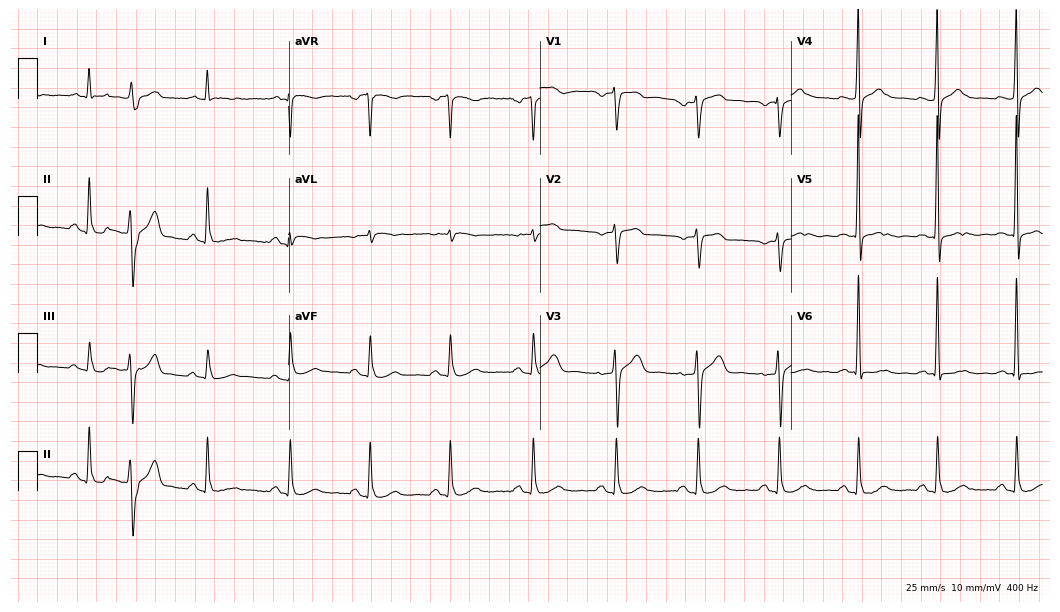
12-lead ECG from a 69-year-old male. Labelled as a normal ECG.